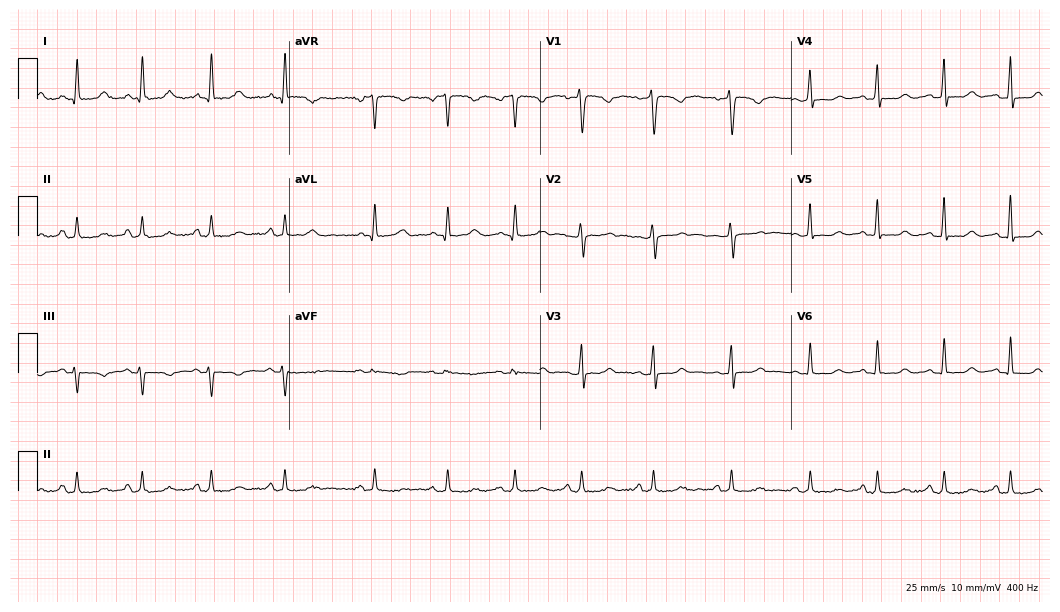
Electrocardiogram (10.2-second recording at 400 Hz), a woman, 51 years old. Of the six screened findings (first-degree AV block, right bundle branch block, left bundle branch block, sinus bradycardia, atrial fibrillation, sinus tachycardia), none is recorded.